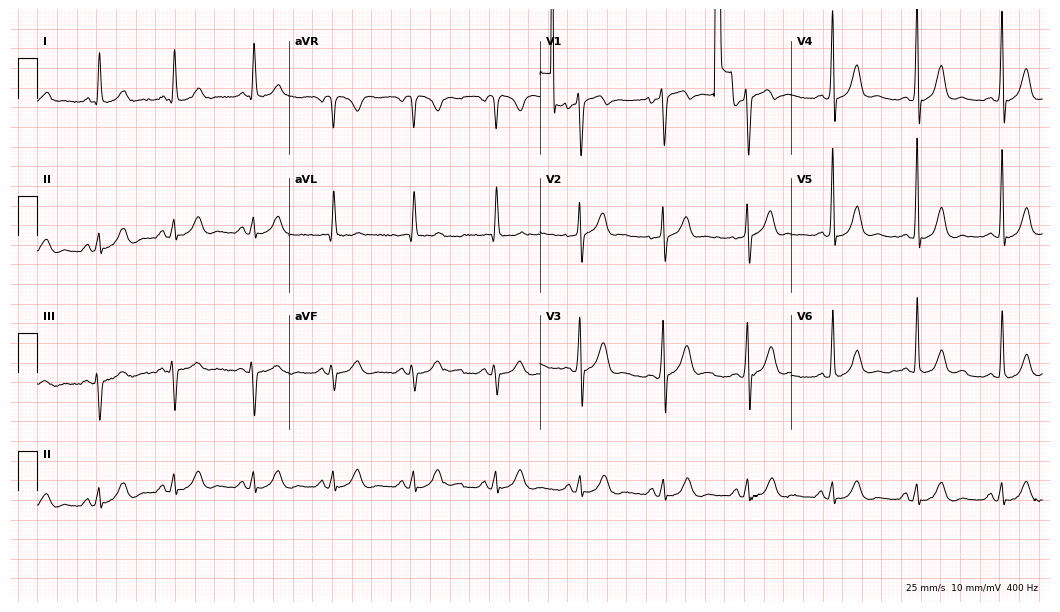
ECG (10.2-second recording at 400 Hz) — a 65-year-old man. Screened for six findings — first-degree AV block, right bundle branch block, left bundle branch block, sinus bradycardia, atrial fibrillation, sinus tachycardia — none is recorded. Findings outside these six are not listed.